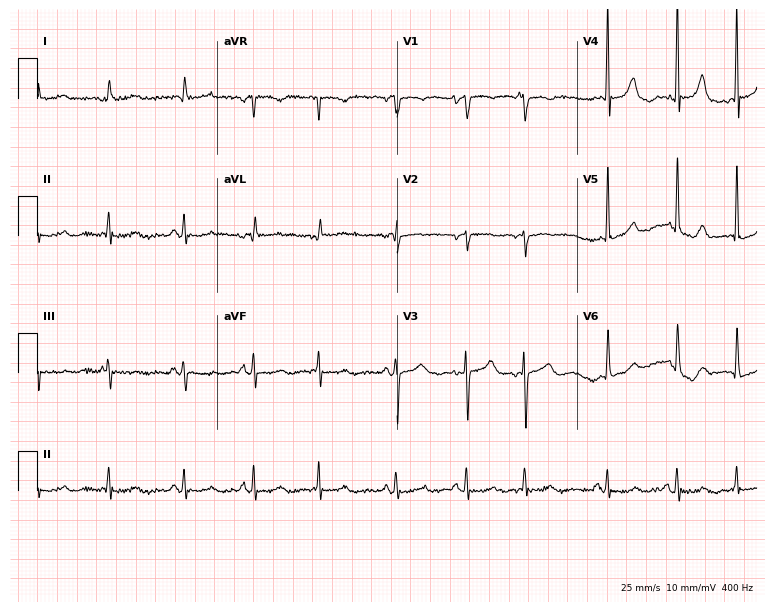
12-lead ECG (7.3-second recording at 400 Hz) from a woman, 67 years old. Screened for six findings — first-degree AV block, right bundle branch block, left bundle branch block, sinus bradycardia, atrial fibrillation, sinus tachycardia — none is recorded.